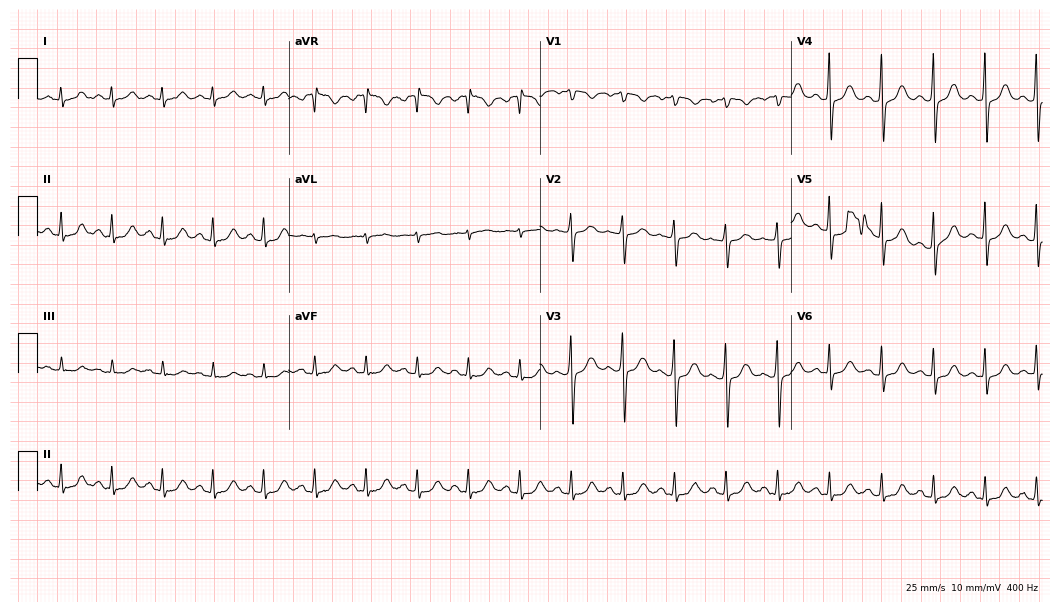
12-lead ECG from a 29-year-old female. Shows sinus tachycardia (a sinus rate of 100 beats per minute or more).